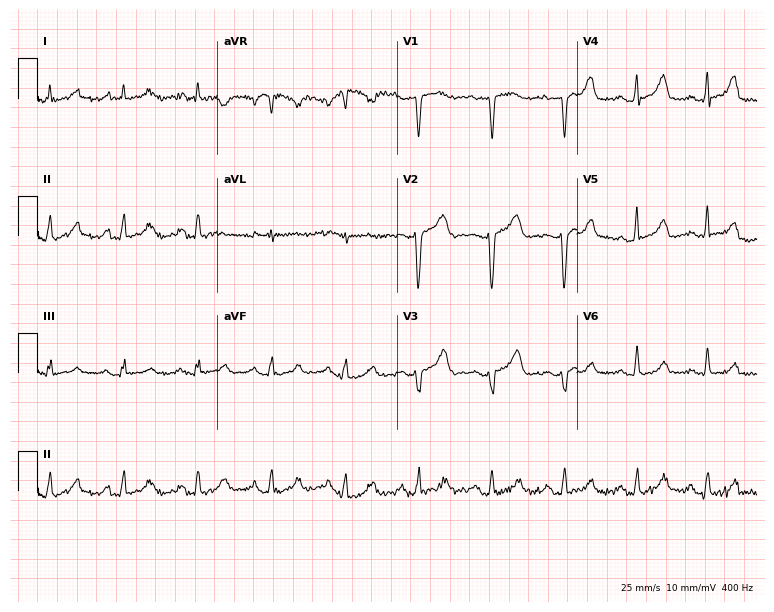
12-lead ECG from a woman, 55 years old. Screened for six findings — first-degree AV block, right bundle branch block, left bundle branch block, sinus bradycardia, atrial fibrillation, sinus tachycardia — none is recorded.